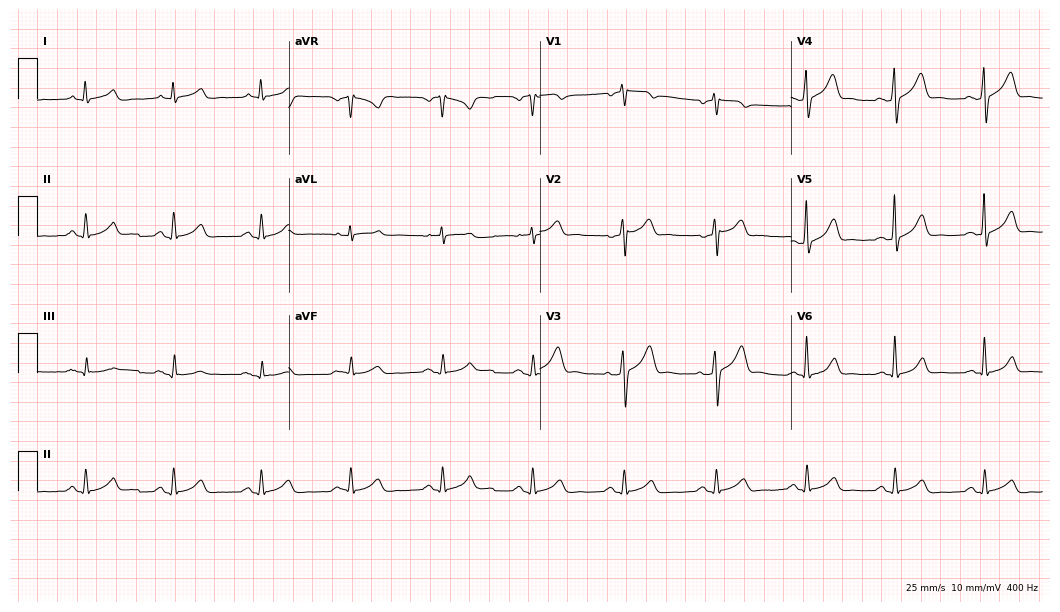
Resting 12-lead electrocardiogram (10.2-second recording at 400 Hz). Patient: a man, 57 years old. None of these six findings is recorded: first-degree AV block, right bundle branch block, left bundle branch block, sinus bradycardia, atrial fibrillation, sinus tachycardia. Only these six findings were labelled.